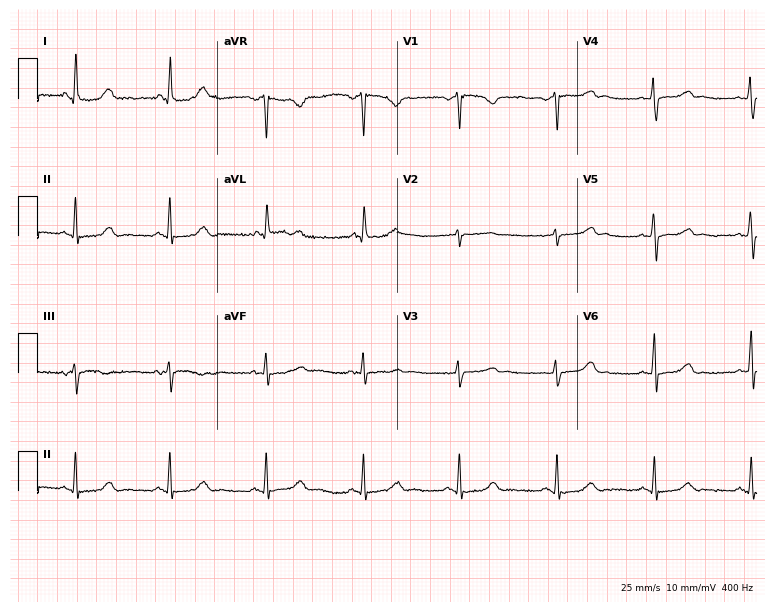
12-lead ECG from a 63-year-old female. Screened for six findings — first-degree AV block, right bundle branch block (RBBB), left bundle branch block (LBBB), sinus bradycardia, atrial fibrillation (AF), sinus tachycardia — none is recorded. Findings outside these six are not listed.